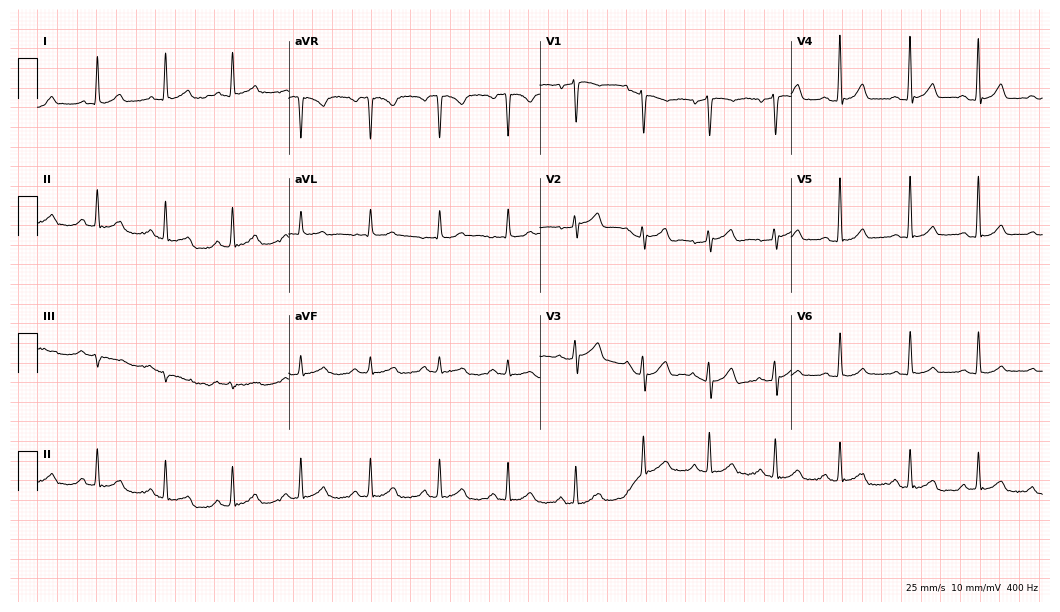
Electrocardiogram, a woman, 68 years old. Overall reading on record: normal ECG.